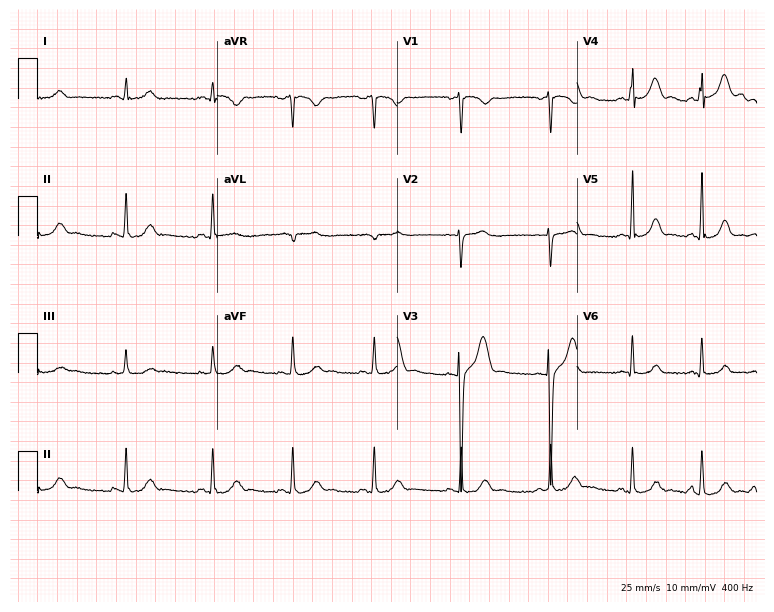
Resting 12-lead electrocardiogram. Patient: a 22-year-old female. Read as a normal ECG.